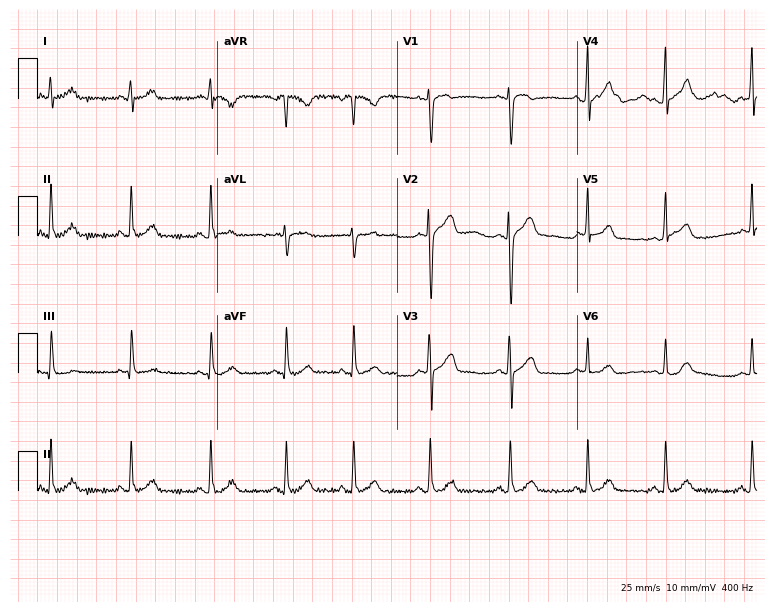
Electrocardiogram, a female, 19 years old. Overall reading on record: normal ECG.